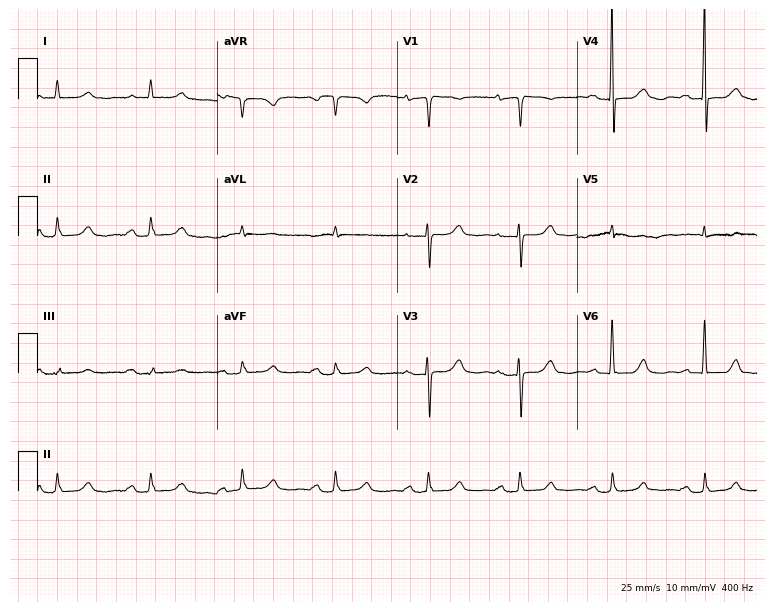
ECG (7.3-second recording at 400 Hz) — a 77-year-old woman. Findings include first-degree AV block.